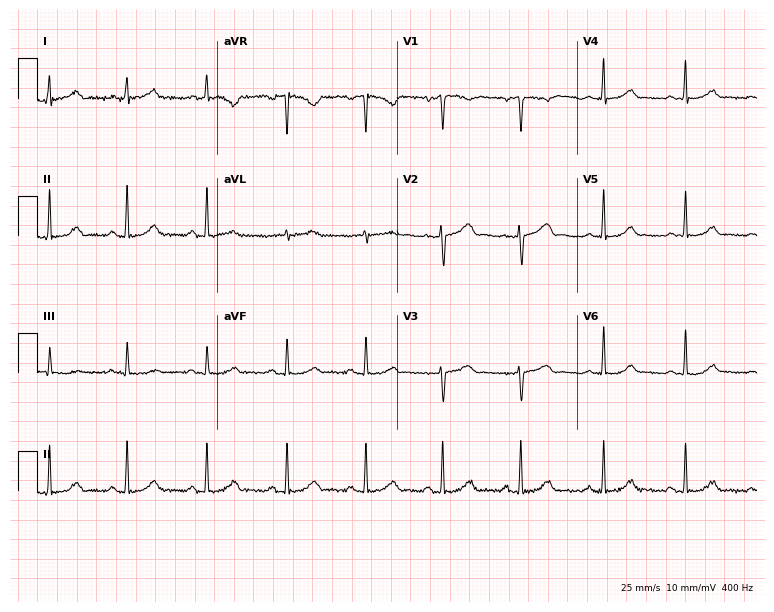
Standard 12-lead ECG recorded from a 50-year-old female patient (7.3-second recording at 400 Hz). None of these six findings is recorded: first-degree AV block, right bundle branch block, left bundle branch block, sinus bradycardia, atrial fibrillation, sinus tachycardia.